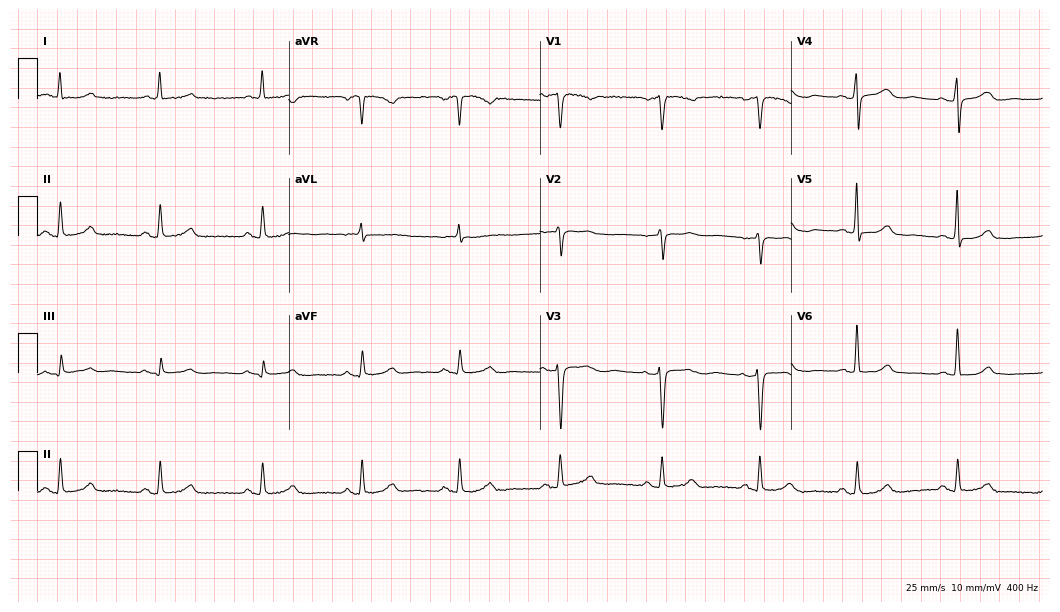
12-lead ECG from an 80-year-old female. Recorded interpretation: within normal limits.